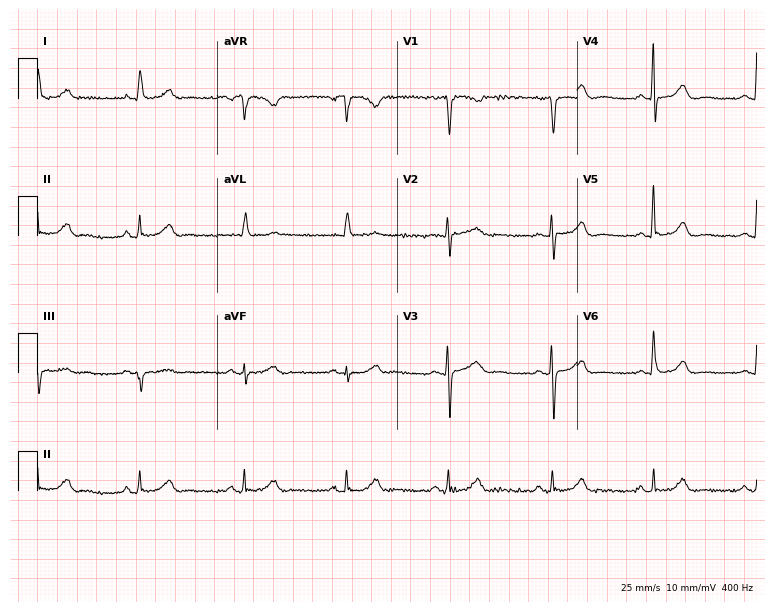
12-lead ECG from a woman, 66 years old (7.3-second recording at 400 Hz). Recorded interpretation: within normal limits.